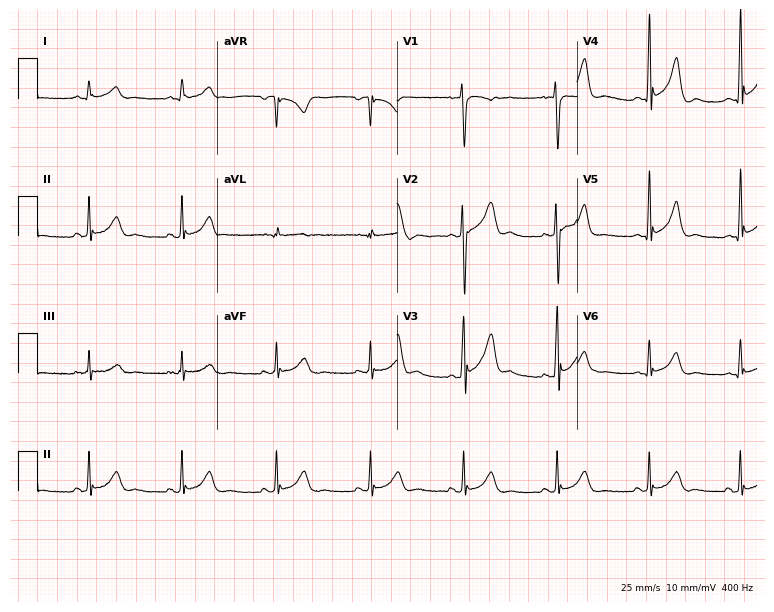
ECG (7.3-second recording at 400 Hz) — a male, 39 years old. Labelled as a normal ECG.